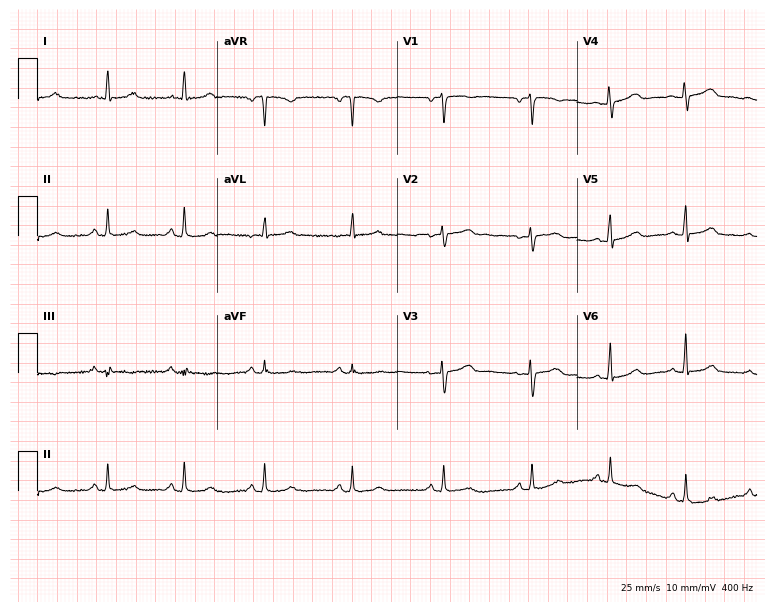
Electrocardiogram, a female patient, 52 years old. Overall reading on record: normal ECG.